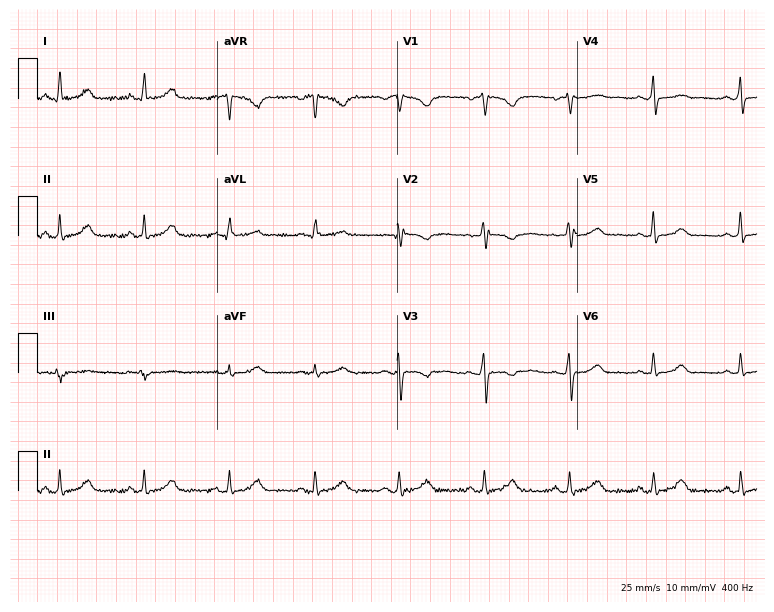
12-lead ECG (7.3-second recording at 400 Hz) from a 40-year-old female patient. Screened for six findings — first-degree AV block, right bundle branch block (RBBB), left bundle branch block (LBBB), sinus bradycardia, atrial fibrillation (AF), sinus tachycardia — none is recorded. Findings outside these six are not listed.